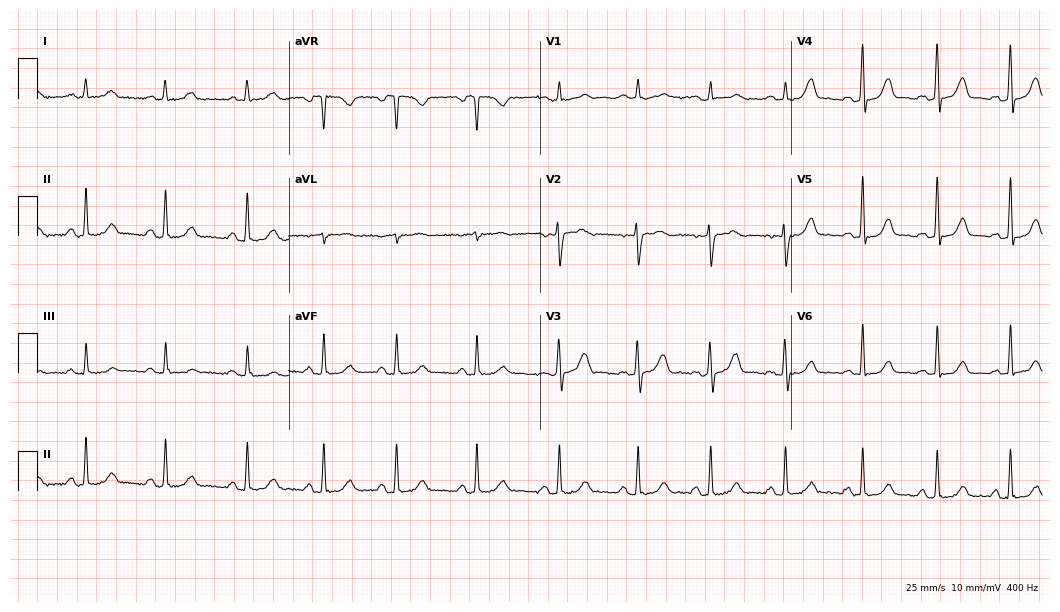
12-lead ECG from a female, 26 years old. Recorded interpretation: within normal limits.